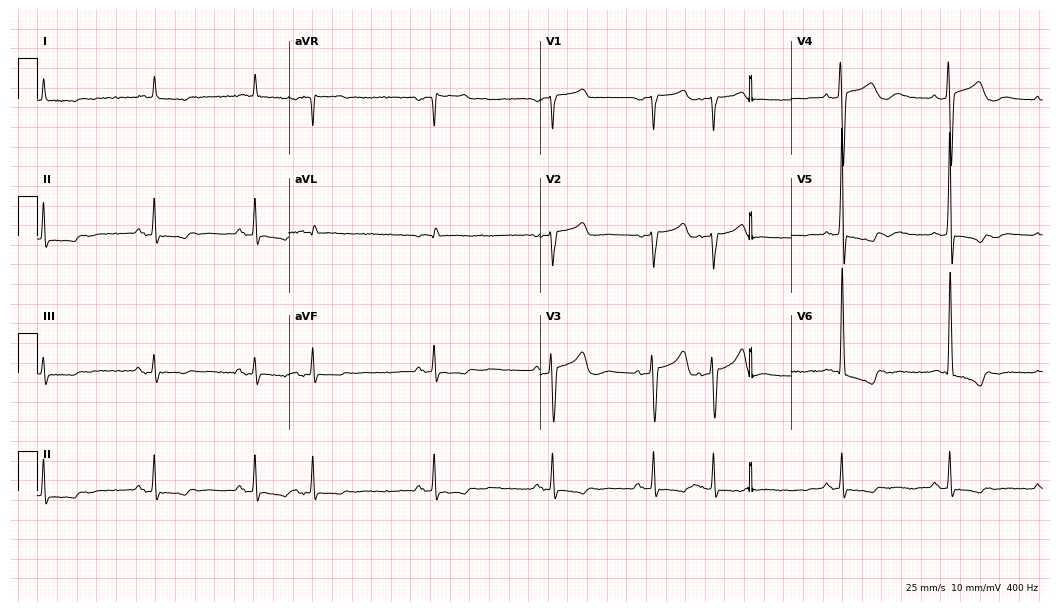
Resting 12-lead electrocardiogram (10.2-second recording at 400 Hz). Patient: a man, 73 years old. None of these six findings is recorded: first-degree AV block, right bundle branch block, left bundle branch block, sinus bradycardia, atrial fibrillation, sinus tachycardia. Findings outside these six are not listed.